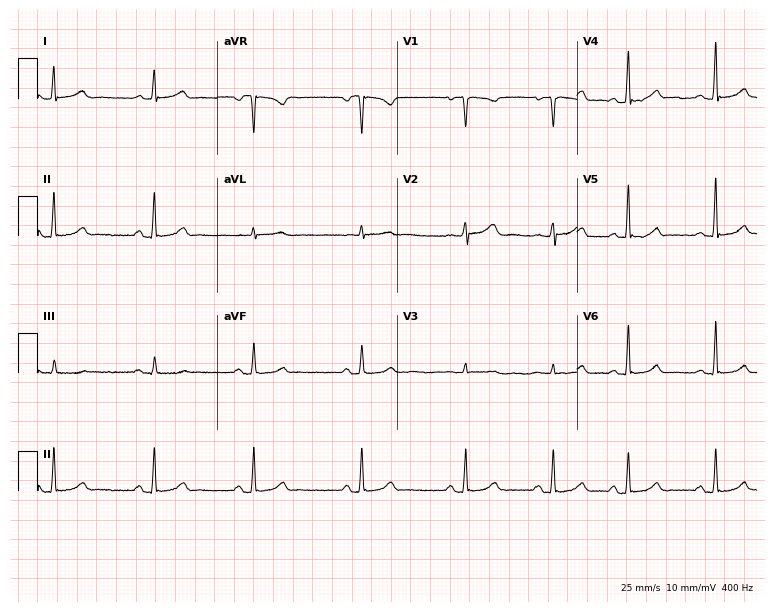
12-lead ECG (7.3-second recording at 400 Hz) from a female patient, 37 years old. Screened for six findings — first-degree AV block, right bundle branch block, left bundle branch block, sinus bradycardia, atrial fibrillation, sinus tachycardia — none is recorded.